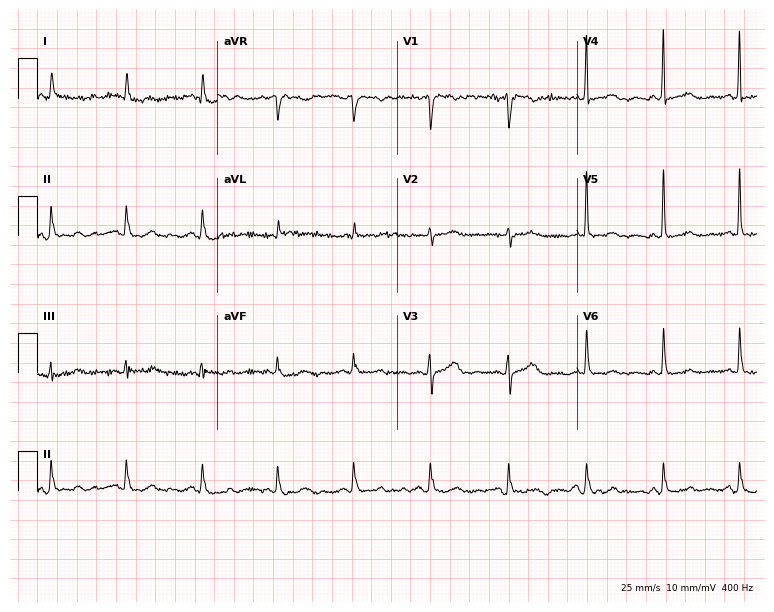
12-lead ECG from a 68-year-old female. Labelled as a normal ECG.